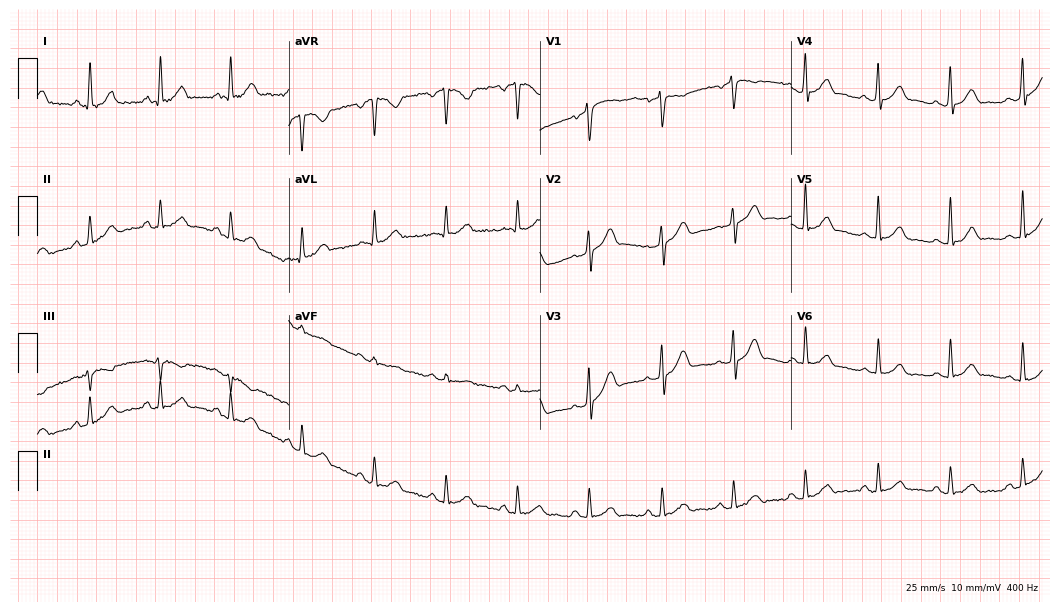
Electrocardiogram, a 51-year-old male. Of the six screened findings (first-degree AV block, right bundle branch block, left bundle branch block, sinus bradycardia, atrial fibrillation, sinus tachycardia), none is recorded. Only these six findings were labelled.